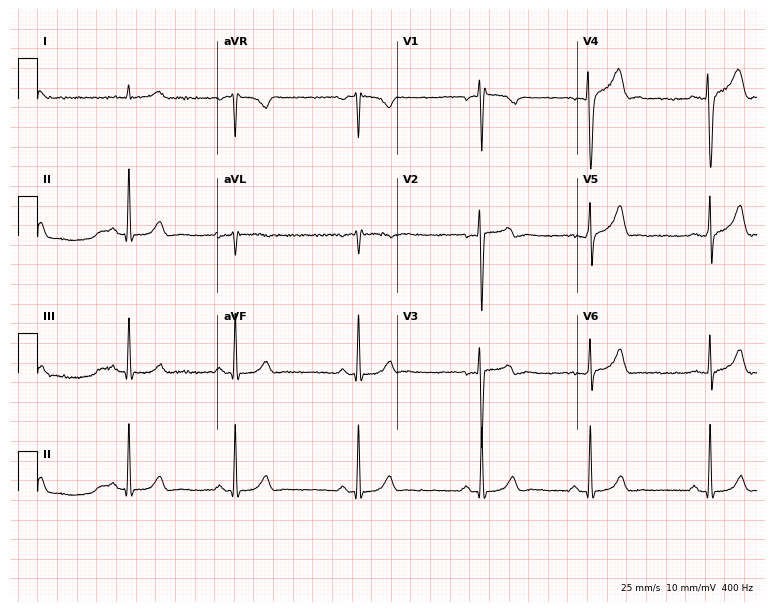
Standard 12-lead ECG recorded from a 27-year-old male patient (7.3-second recording at 400 Hz). The tracing shows sinus bradycardia (a sinus rate of 50 beats per minute or less).